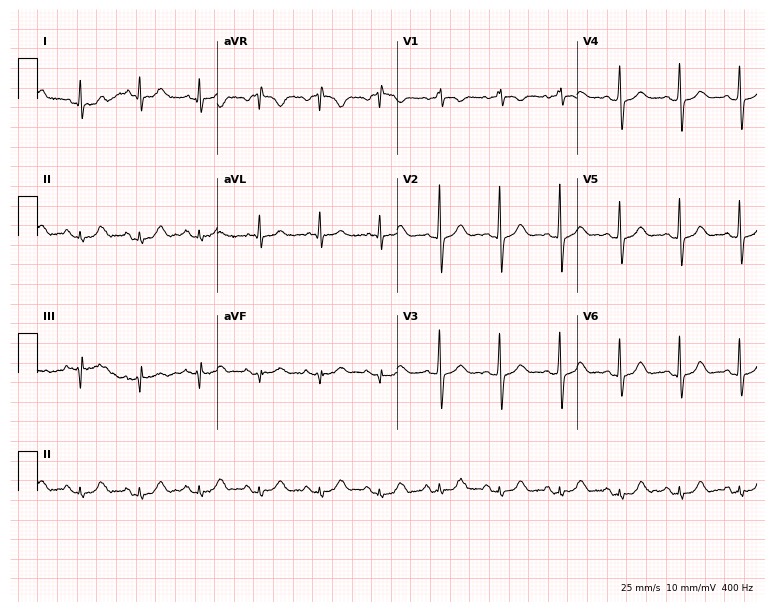
Standard 12-lead ECG recorded from a 60-year-old female patient. Read as a normal ECG.